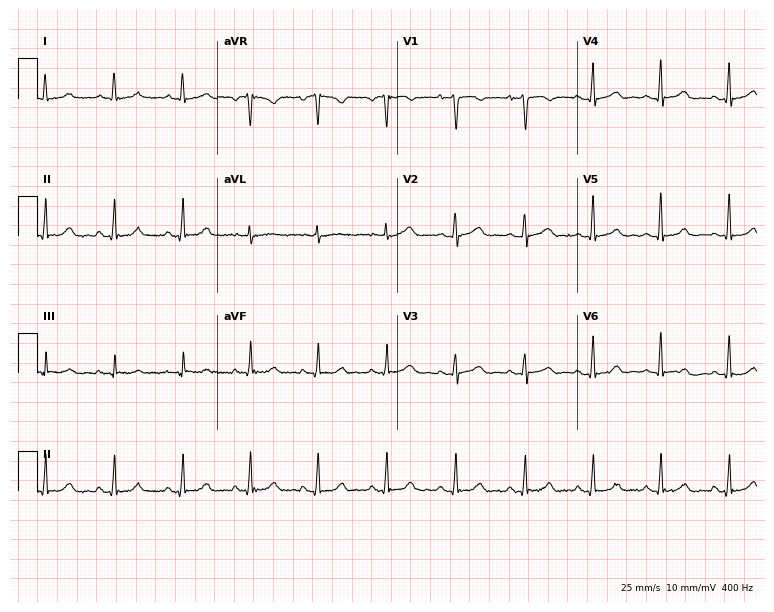
Electrocardiogram, a female patient, 49 years old. Overall reading on record: normal ECG.